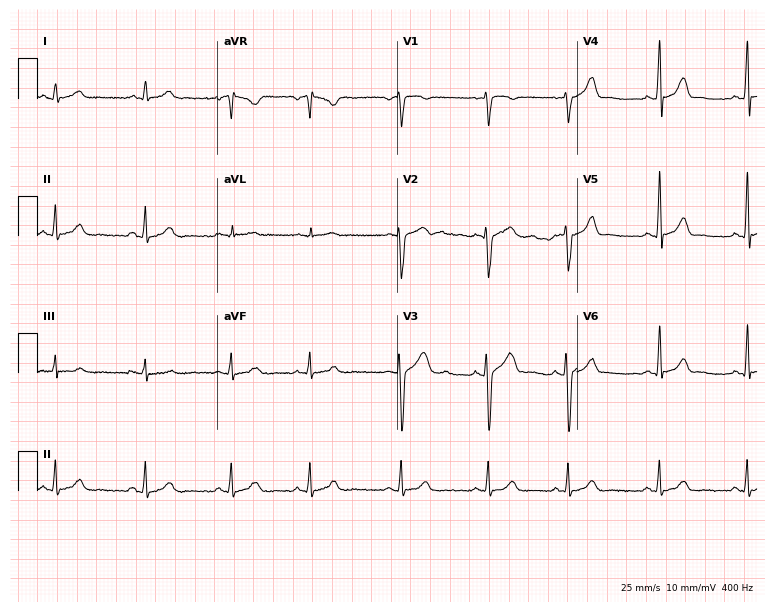
Resting 12-lead electrocardiogram. Patient: a 29-year-old female. None of these six findings is recorded: first-degree AV block, right bundle branch block (RBBB), left bundle branch block (LBBB), sinus bradycardia, atrial fibrillation (AF), sinus tachycardia. Other findings, if any, are not listed.